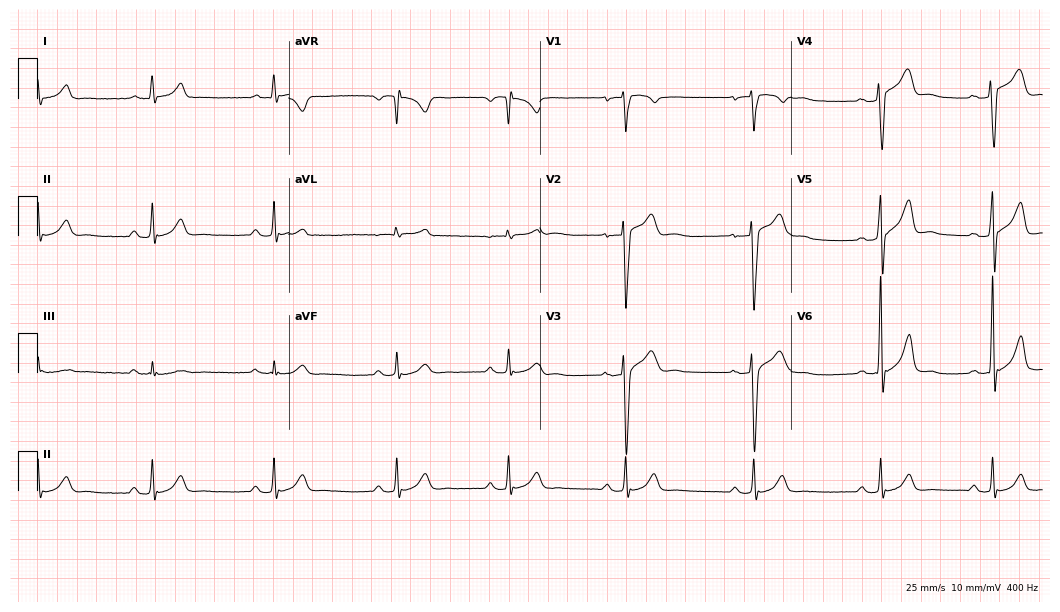
Standard 12-lead ECG recorded from a man, 40 years old. The tracing shows sinus bradycardia (a sinus rate of 50 beats per minute or less).